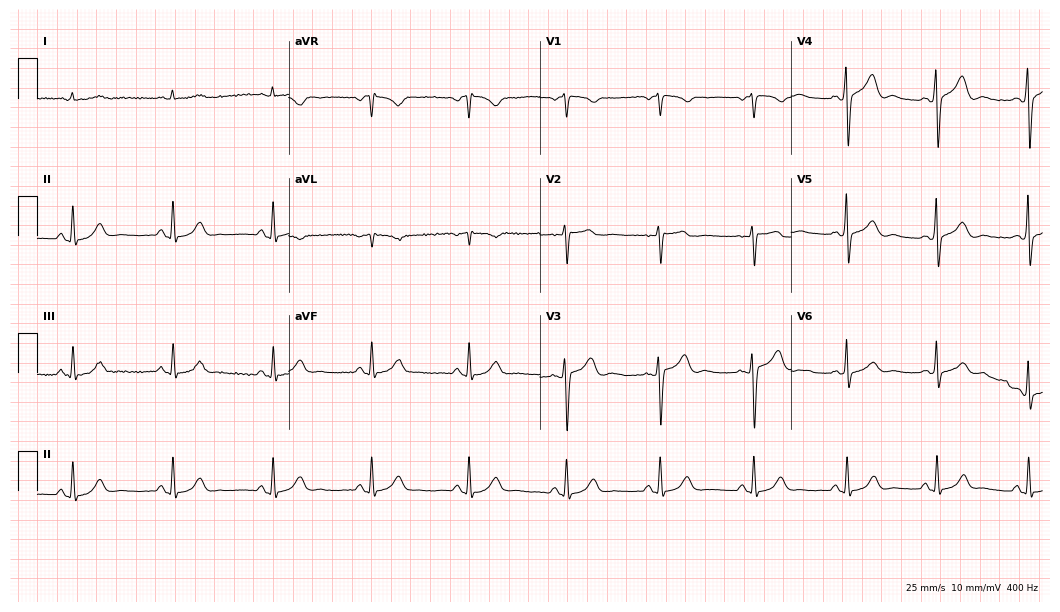
12-lead ECG from a man, 66 years old. Screened for six findings — first-degree AV block, right bundle branch block, left bundle branch block, sinus bradycardia, atrial fibrillation, sinus tachycardia — none is recorded.